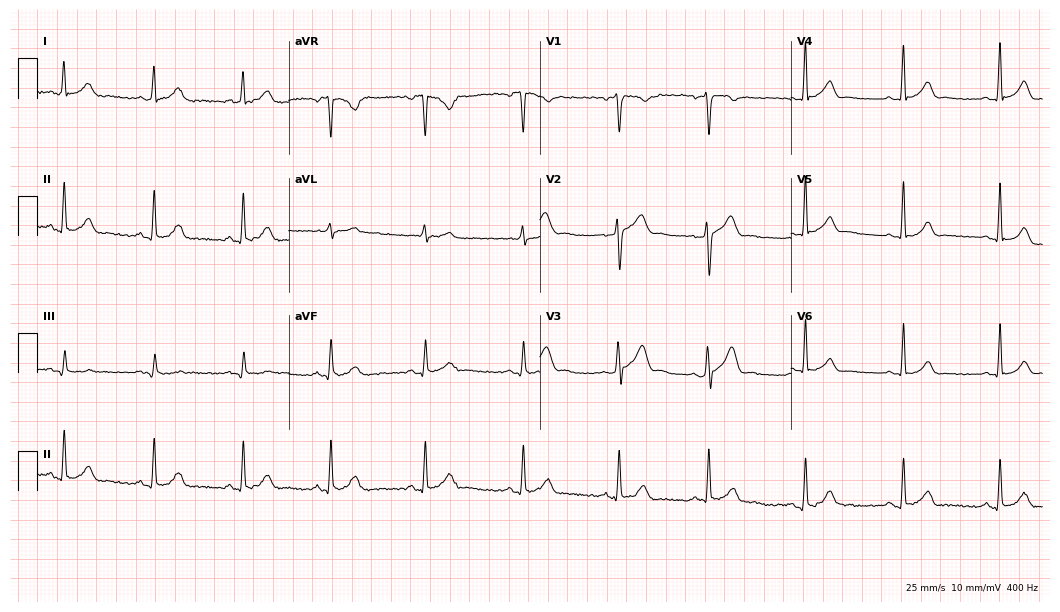
ECG — a 21-year-old male patient. Labelled as a normal ECG.